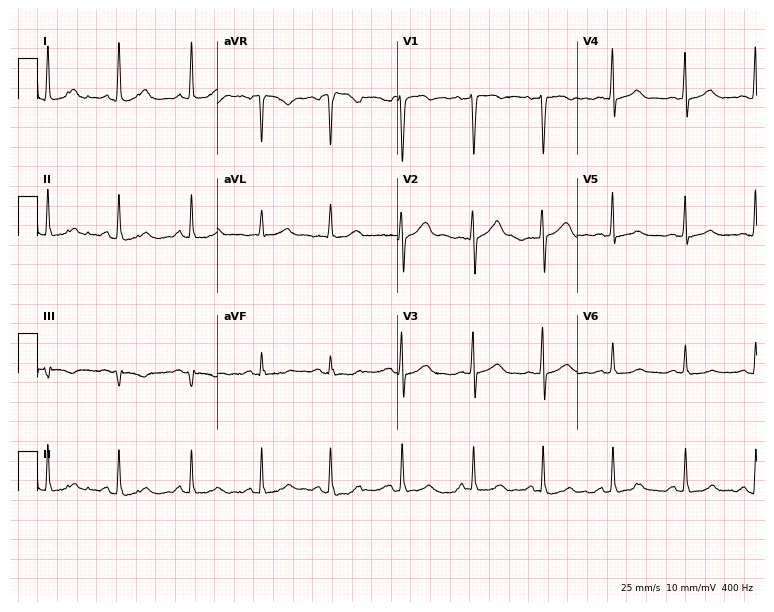
Electrocardiogram, a 45-year-old female patient. Of the six screened findings (first-degree AV block, right bundle branch block, left bundle branch block, sinus bradycardia, atrial fibrillation, sinus tachycardia), none is recorded.